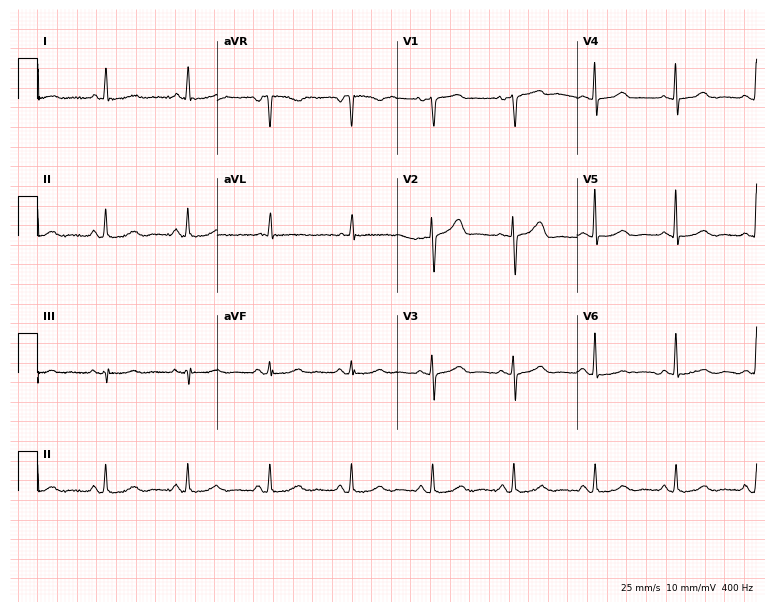
Standard 12-lead ECG recorded from a 69-year-old woman. None of these six findings is recorded: first-degree AV block, right bundle branch block (RBBB), left bundle branch block (LBBB), sinus bradycardia, atrial fibrillation (AF), sinus tachycardia. Only these six findings were labelled.